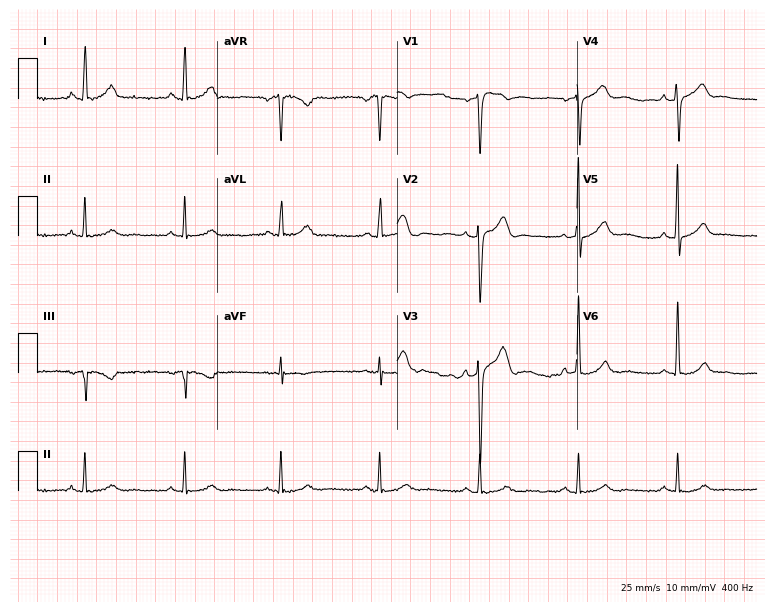
Electrocardiogram (7.3-second recording at 400 Hz), a 62-year-old male. Of the six screened findings (first-degree AV block, right bundle branch block, left bundle branch block, sinus bradycardia, atrial fibrillation, sinus tachycardia), none is recorded.